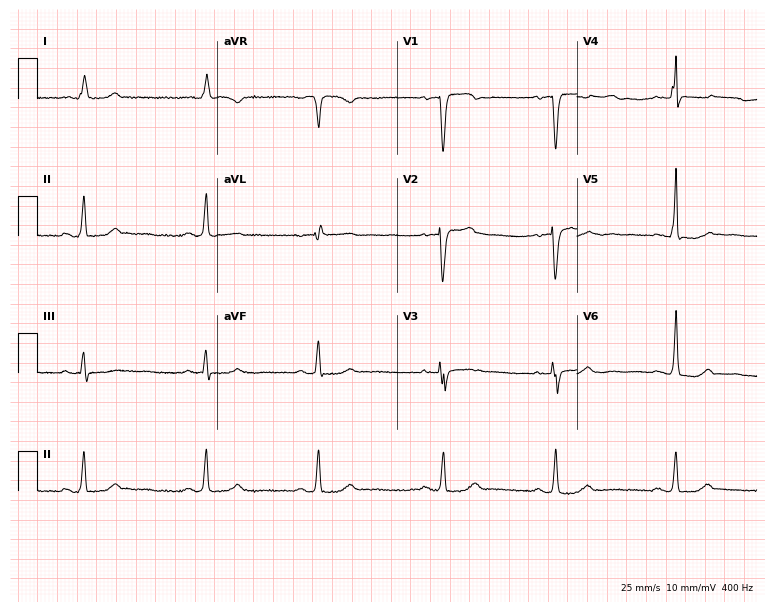
12-lead ECG from a 67-year-old female patient (7.3-second recording at 400 Hz). No first-degree AV block, right bundle branch block, left bundle branch block, sinus bradycardia, atrial fibrillation or sinus tachycardia recorded for this tracing. Findings outside these six are not listed.